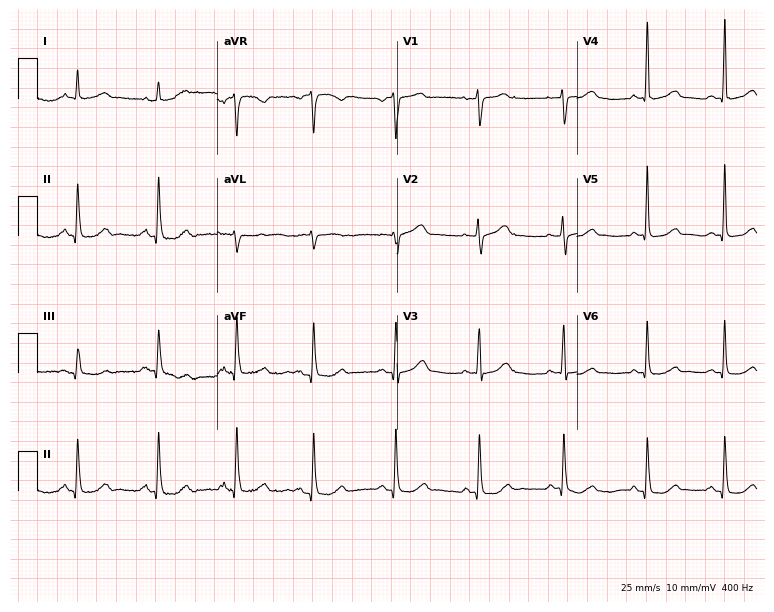
Electrocardiogram, a 67-year-old female patient. Overall reading on record: normal ECG.